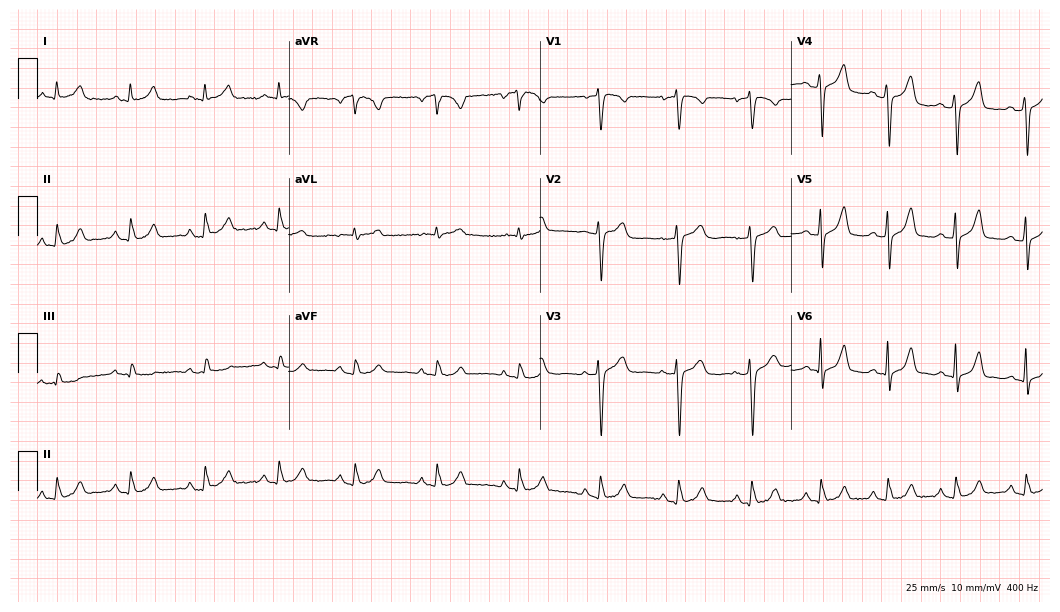
ECG — a female, 57 years old. Labelled as a normal ECG.